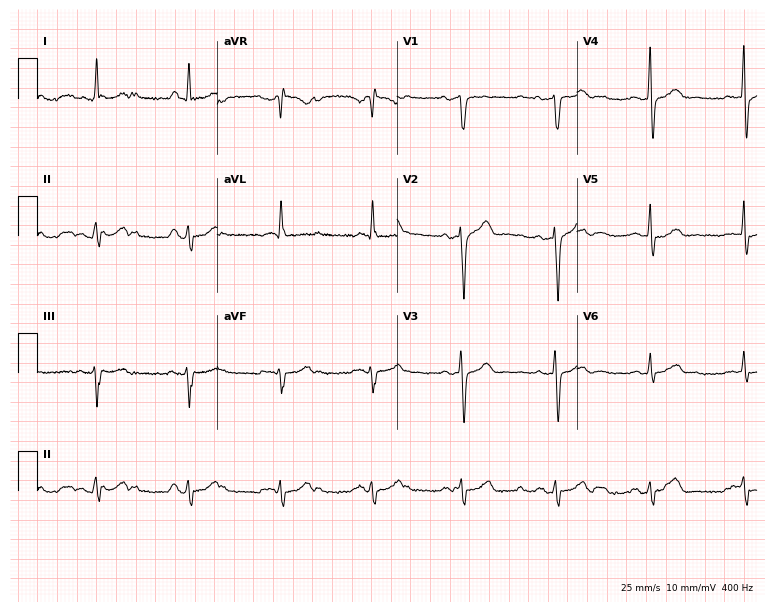
12-lead ECG from a male patient, 62 years old. Screened for six findings — first-degree AV block, right bundle branch block, left bundle branch block, sinus bradycardia, atrial fibrillation, sinus tachycardia — none is recorded.